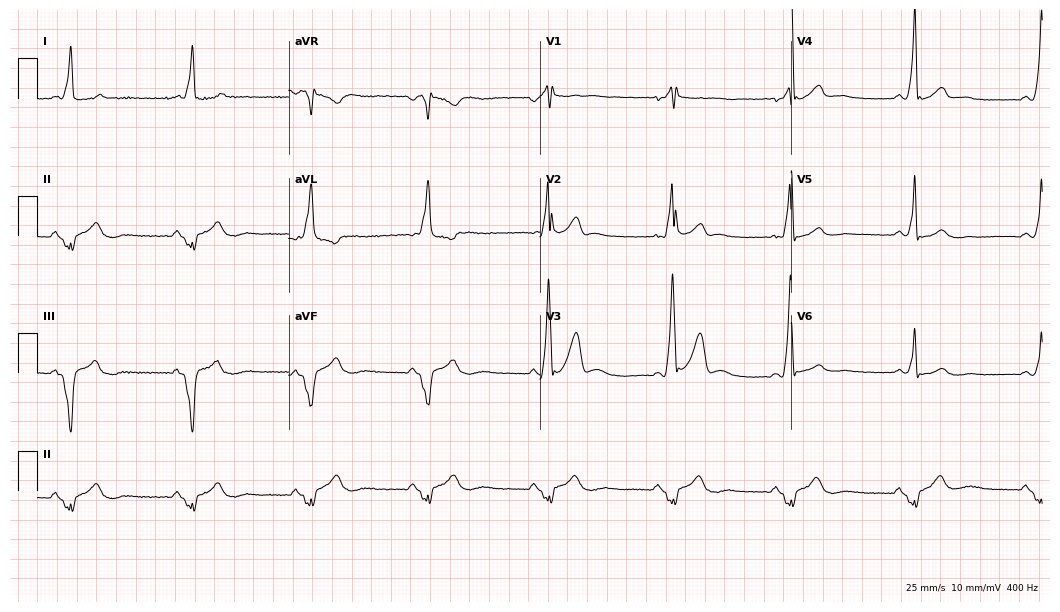
ECG — a man, 35 years old. Screened for six findings — first-degree AV block, right bundle branch block (RBBB), left bundle branch block (LBBB), sinus bradycardia, atrial fibrillation (AF), sinus tachycardia — none is recorded. Findings outside these six are not listed.